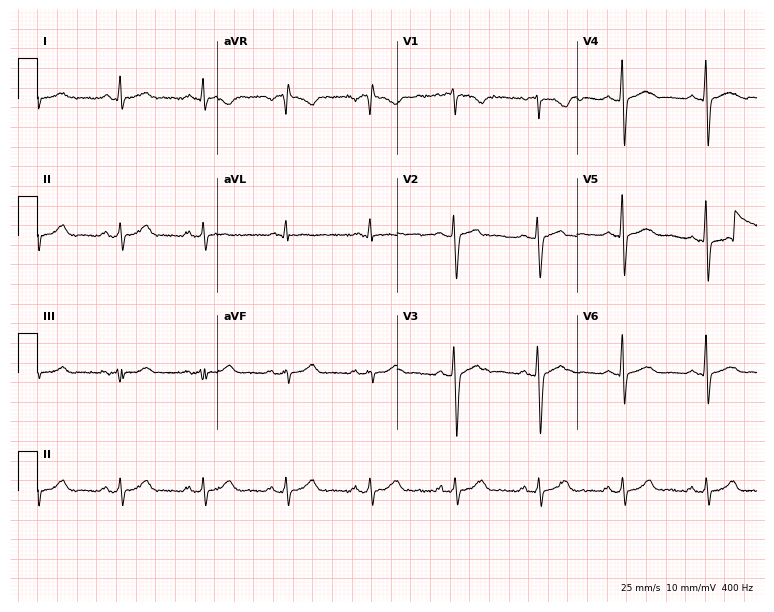
Electrocardiogram (7.3-second recording at 400 Hz), a 57-year-old male. Of the six screened findings (first-degree AV block, right bundle branch block, left bundle branch block, sinus bradycardia, atrial fibrillation, sinus tachycardia), none is recorded. Findings outside these six are not listed.